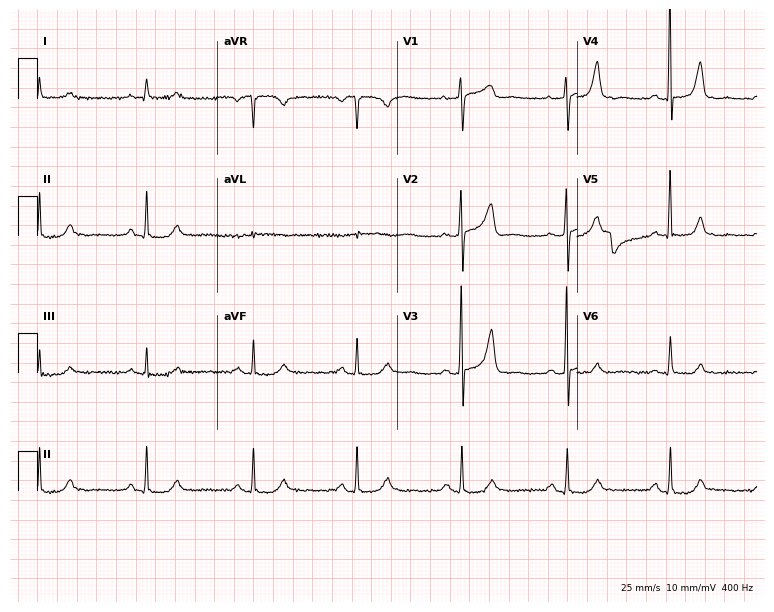
Standard 12-lead ECG recorded from a female patient, 63 years old. Read as a normal ECG.